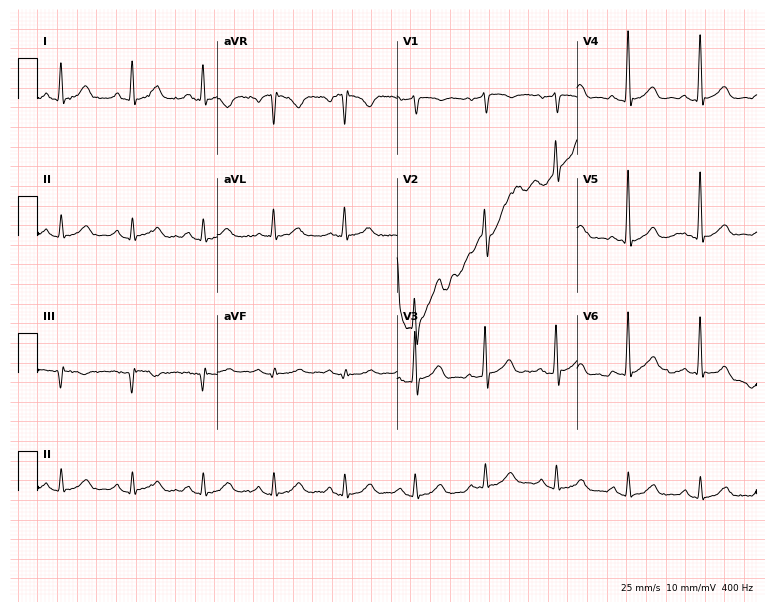
Resting 12-lead electrocardiogram (7.3-second recording at 400 Hz). Patient: a male, 63 years old. None of these six findings is recorded: first-degree AV block, right bundle branch block, left bundle branch block, sinus bradycardia, atrial fibrillation, sinus tachycardia.